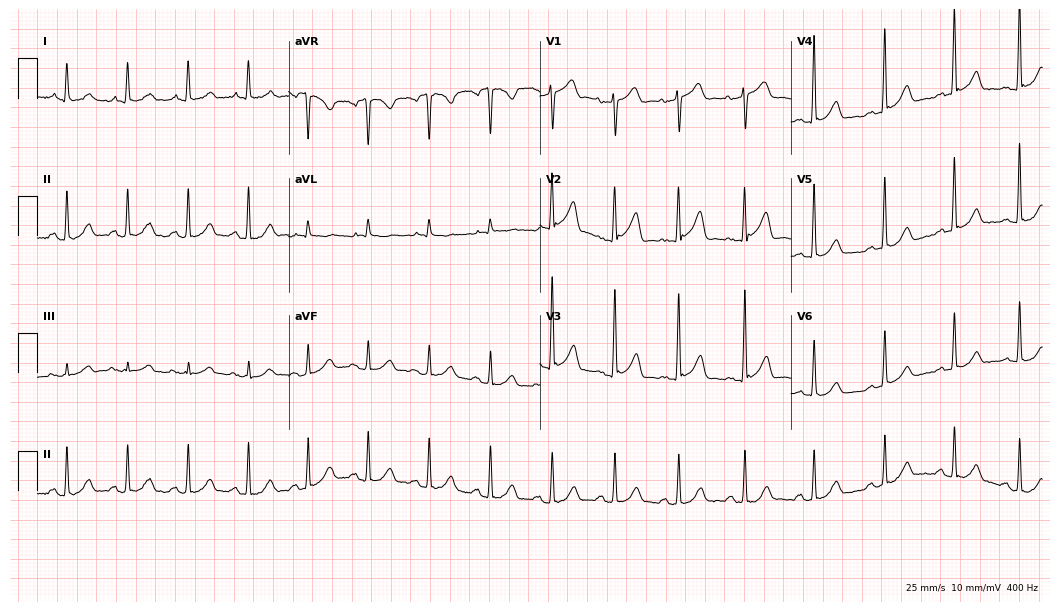
12-lead ECG from a 65-year-old male. Screened for six findings — first-degree AV block, right bundle branch block, left bundle branch block, sinus bradycardia, atrial fibrillation, sinus tachycardia — none is recorded. Findings outside these six are not listed.